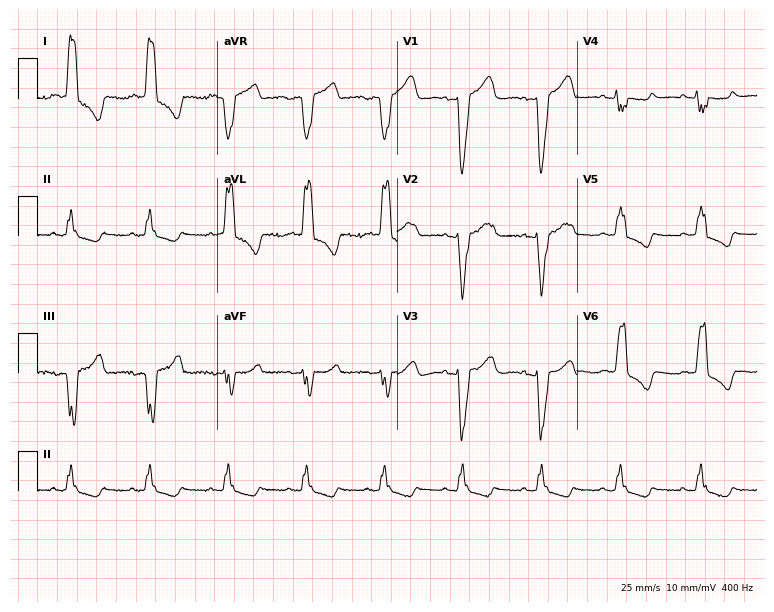
Standard 12-lead ECG recorded from an 81-year-old woman (7.3-second recording at 400 Hz). The tracing shows left bundle branch block (LBBB).